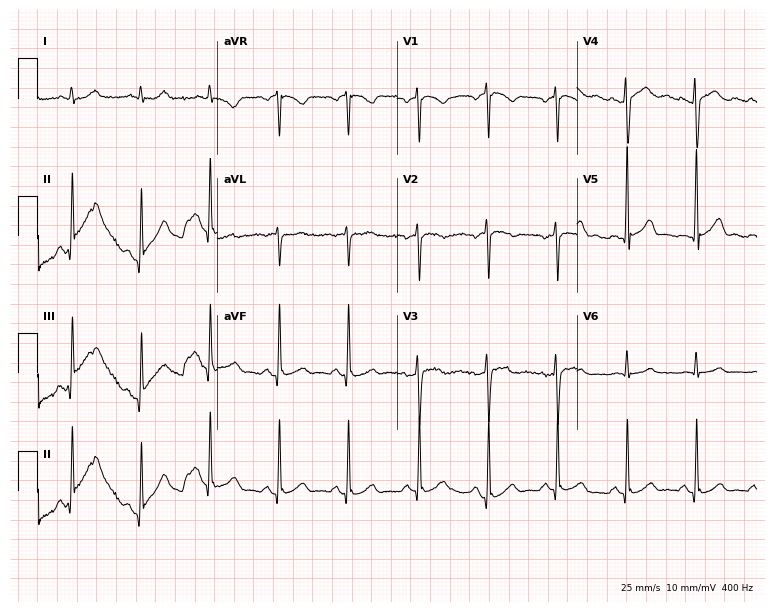
12-lead ECG (7.3-second recording at 400 Hz) from a 50-year-old male. Screened for six findings — first-degree AV block, right bundle branch block, left bundle branch block, sinus bradycardia, atrial fibrillation, sinus tachycardia — none is recorded. Only these six findings were labelled.